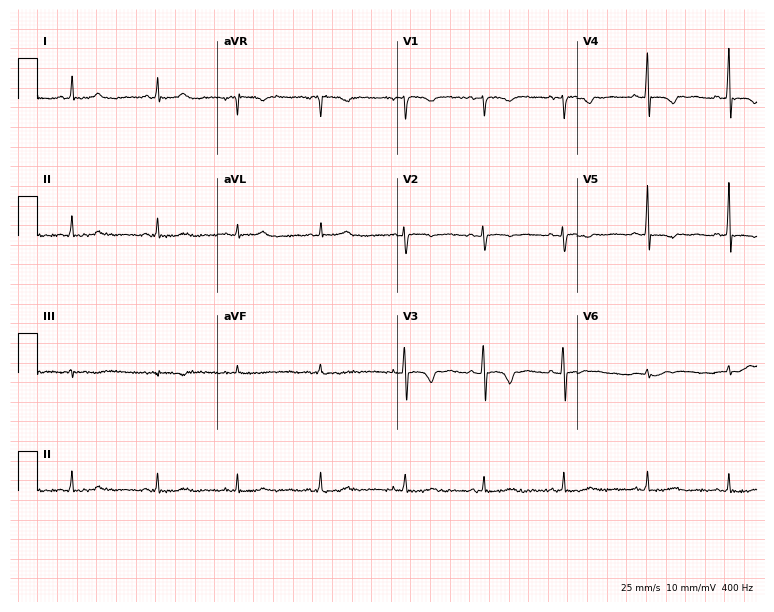
Resting 12-lead electrocardiogram. Patient: a woman, 27 years old. None of these six findings is recorded: first-degree AV block, right bundle branch block, left bundle branch block, sinus bradycardia, atrial fibrillation, sinus tachycardia.